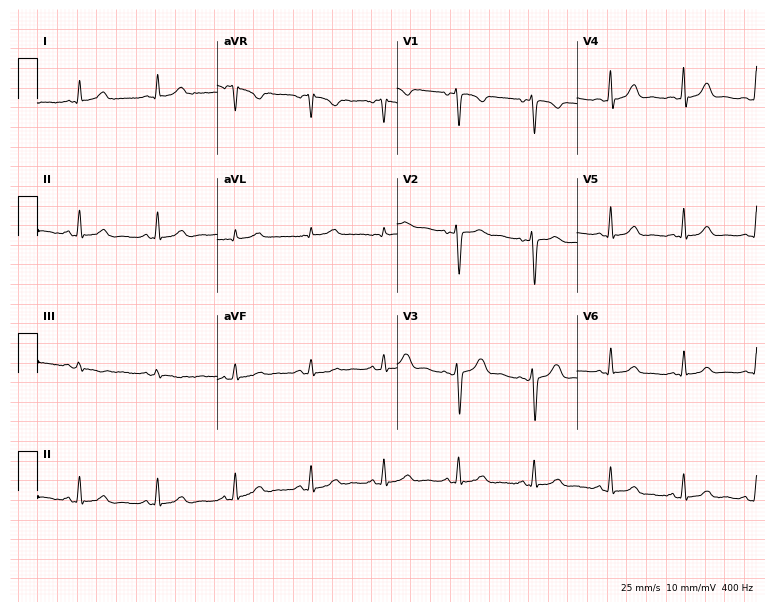
ECG — a 29-year-old female. Screened for six findings — first-degree AV block, right bundle branch block (RBBB), left bundle branch block (LBBB), sinus bradycardia, atrial fibrillation (AF), sinus tachycardia — none is recorded. Findings outside these six are not listed.